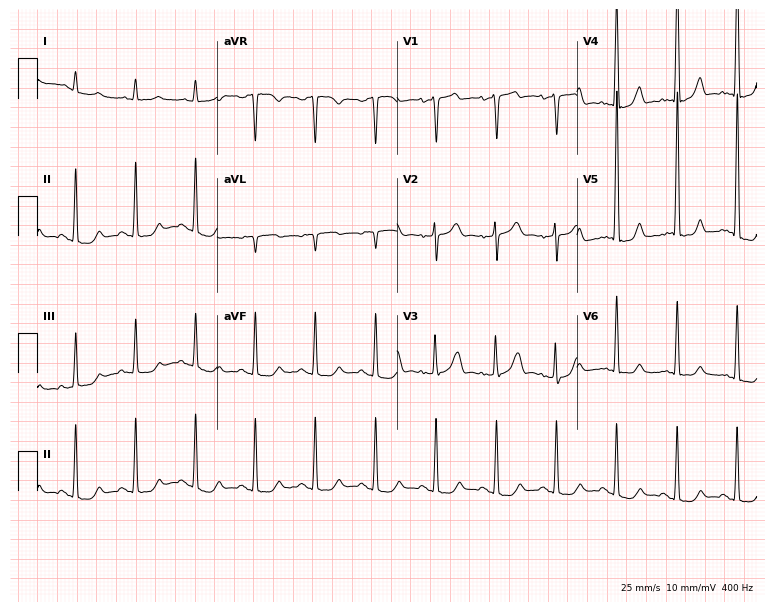
12-lead ECG from a female patient, 68 years old. No first-degree AV block, right bundle branch block (RBBB), left bundle branch block (LBBB), sinus bradycardia, atrial fibrillation (AF) or sinus tachycardia recorded for this tracing.